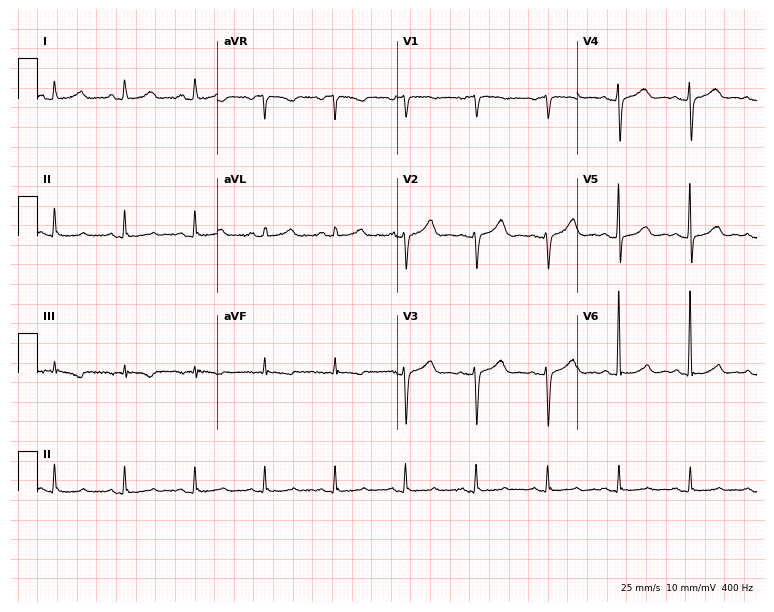
ECG (7.3-second recording at 400 Hz) — a woman, 83 years old. Labelled as a normal ECG.